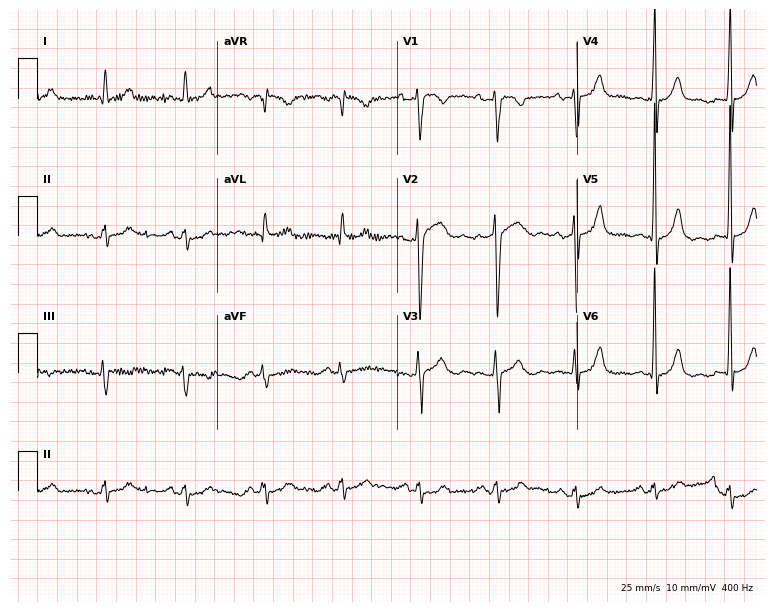
ECG (7.3-second recording at 400 Hz) — a 50-year-old male. Screened for six findings — first-degree AV block, right bundle branch block (RBBB), left bundle branch block (LBBB), sinus bradycardia, atrial fibrillation (AF), sinus tachycardia — none is recorded. Only these six findings were labelled.